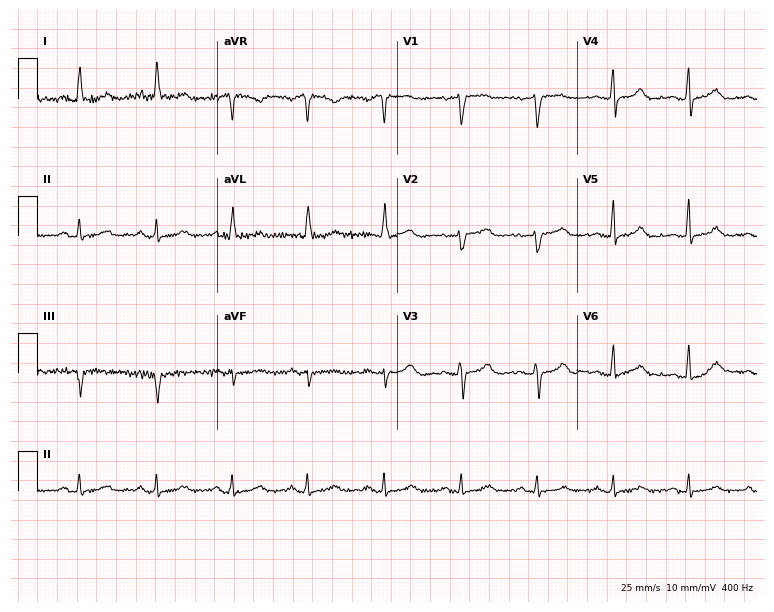
ECG — a female patient, 66 years old. Labelled as a normal ECG.